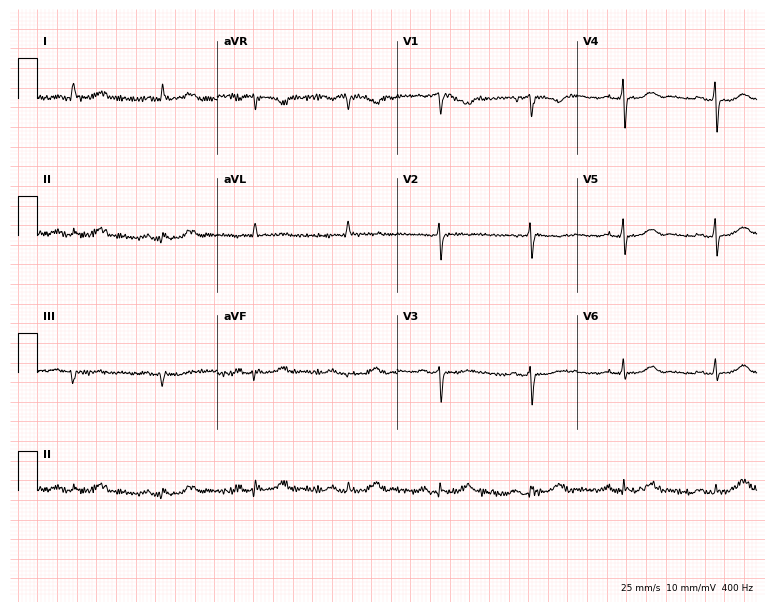
Electrocardiogram (7.3-second recording at 400 Hz), a 66-year-old female. Of the six screened findings (first-degree AV block, right bundle branch block, left bundle branch block, sinus bradycardia, atrial fibrillation, sinus tachycardia), none is recorded.